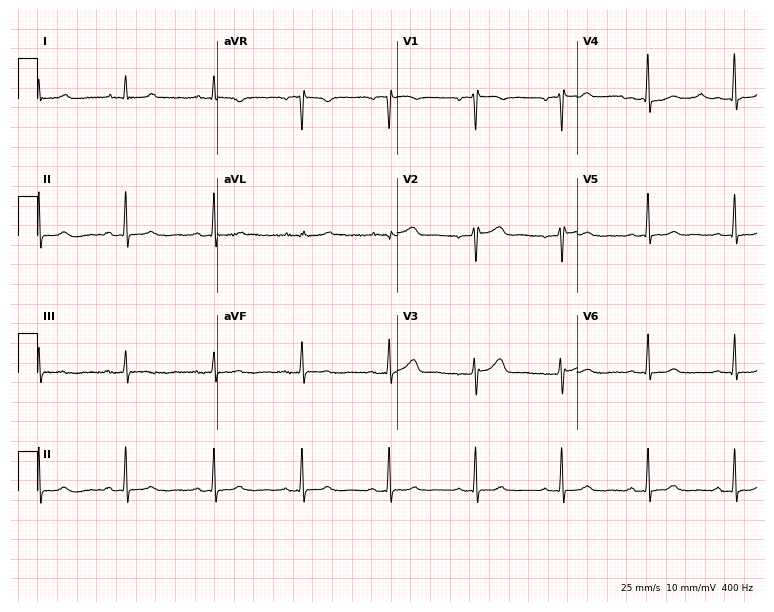
12-lead ECG from a 55-year-old woman. No first-degree AV block, right bundle branch block (RBBB), left bundle branch block (LBBB), sinus bradycardia, atrial fibrillation (AF) or sinus tachycardia recorded for this tracing. Findings outside these six are not listed.